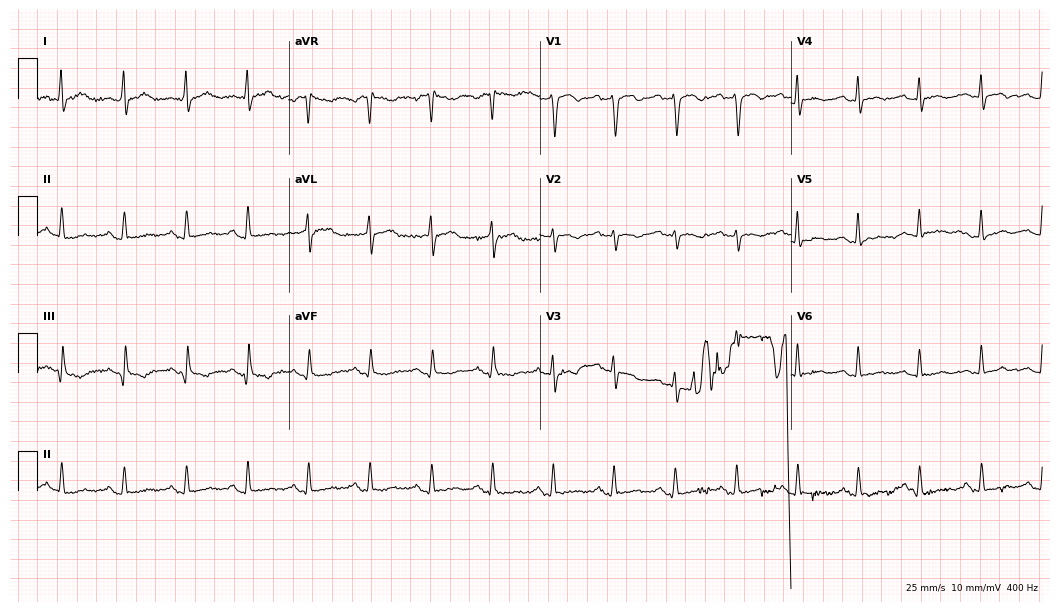
ECG — a female patient, 76 years old. Screened for six findings — first-degree AV block, right bundle branch block (RBBB), left bundle branch block (LBBB), sinus bradycardia, atrial fibrillation (AF), sinus tachycardia — none is recorded. Findings outside these six are not listed.